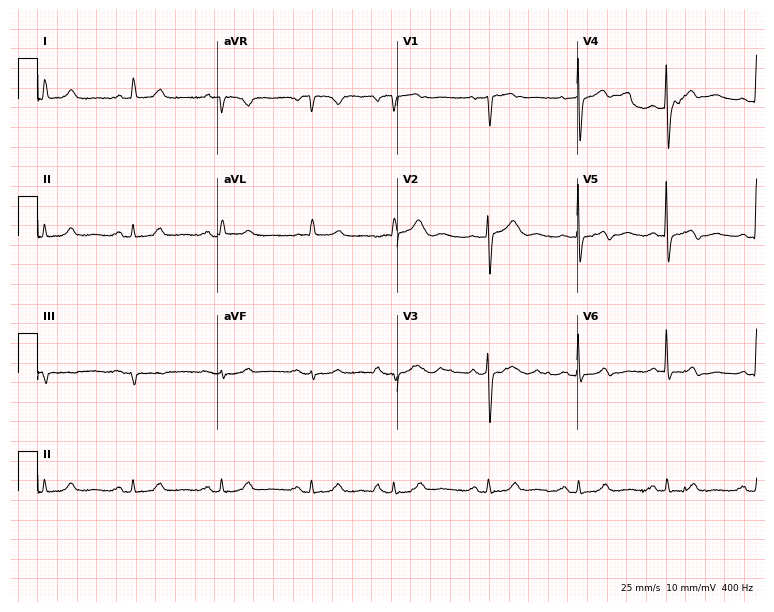
ECG (7.3-second recording at 400 Hz) — a female, 77 years old. Labelled as a normal ECG.